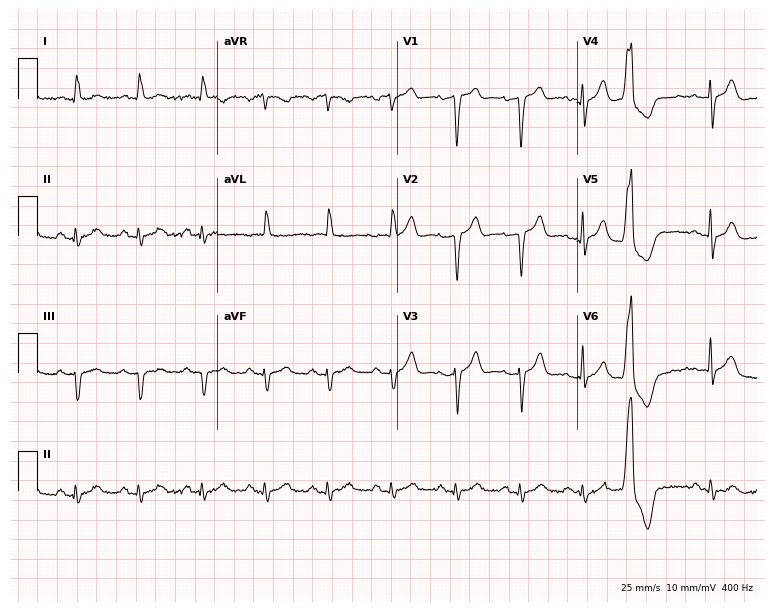
Standard 12-lead ECG recorded from a male patient, 78 years old (7.3-second recording at 400 Hz). None of these six findings is recorded: first-degree AV block, right bundle branch block, left bundle branch block, sinus bradycardia, atrial fibrillation, sinus tachycardia. Other findings, if any, are not listed.